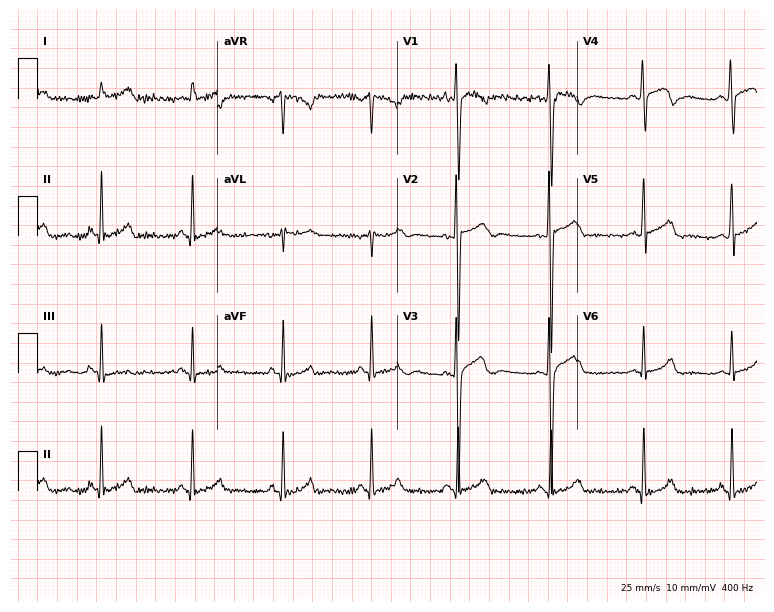
12-lead ECG from a male patient, 23 years old. Recorded interpretation: within normal limits.